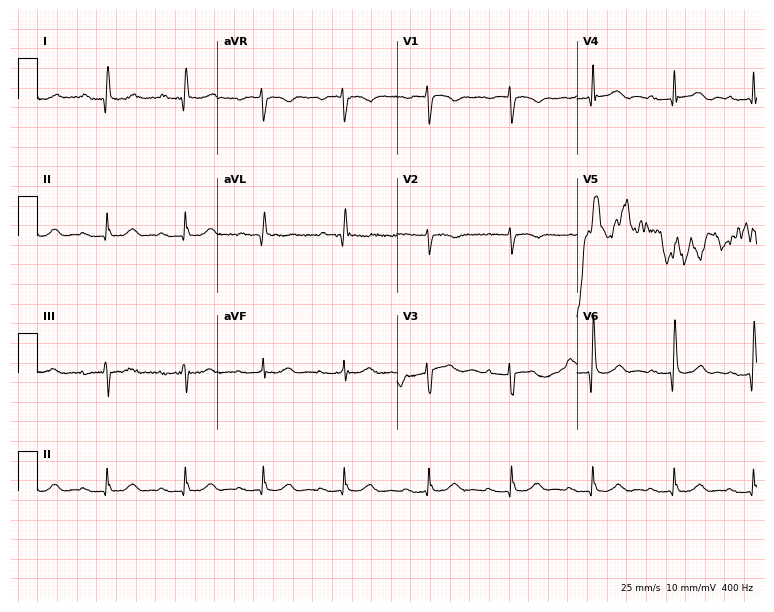
Standard 12-lead ECG recorded from a male patient, 72 years old (7.3-second recording at 400 Hz). The tracing shows first-degree AV block.